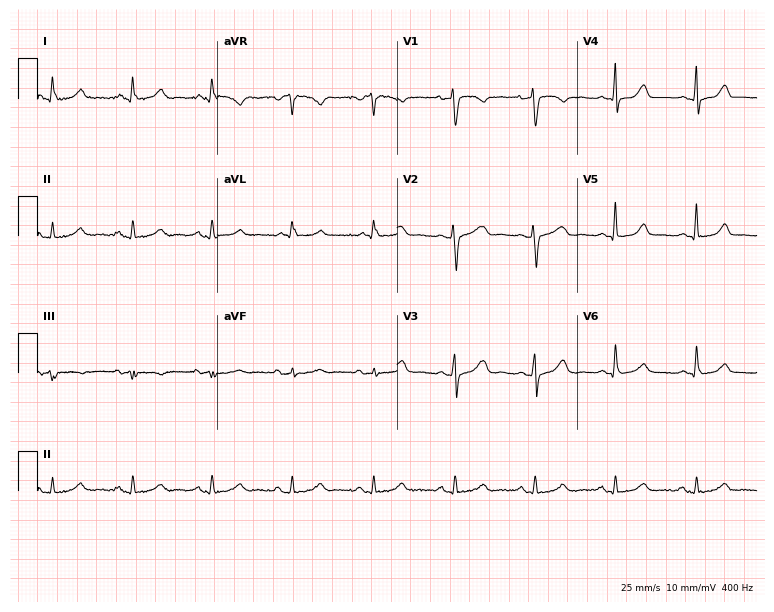
Electrocardiogram, a 50-year-old woman. Of the six screened findings (first-degree AV block, right bundle branch block (RBBB), left bundle branch block (LBBB), sinus bradycardia, atrial fibrillation (AF), sinus tachycardia), none is recorded.